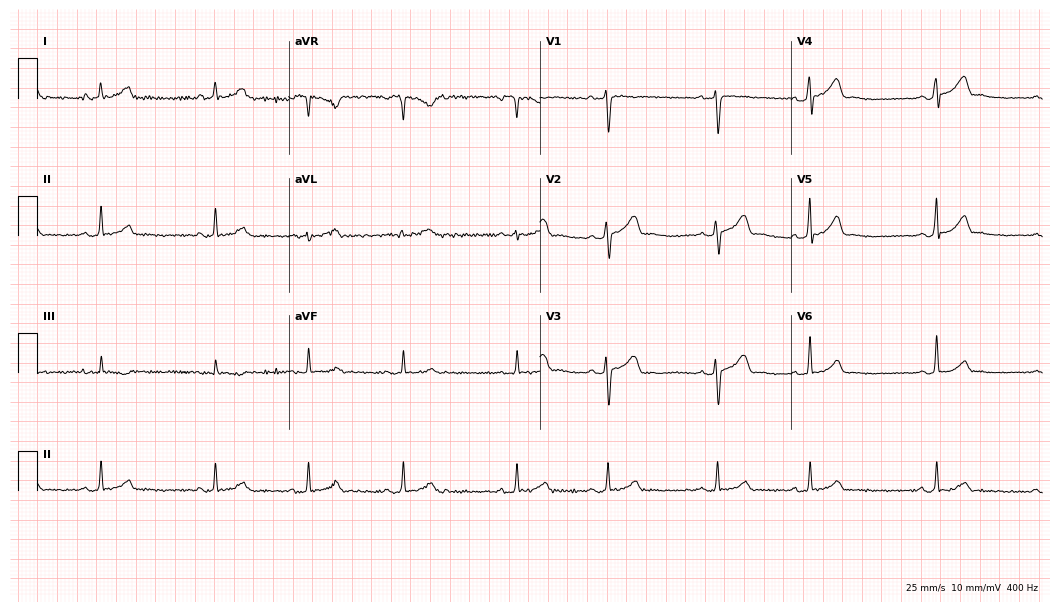
Resting 12-lead electrocardiogram. Patient: a female, 23 years old. Read as a normal ECG.